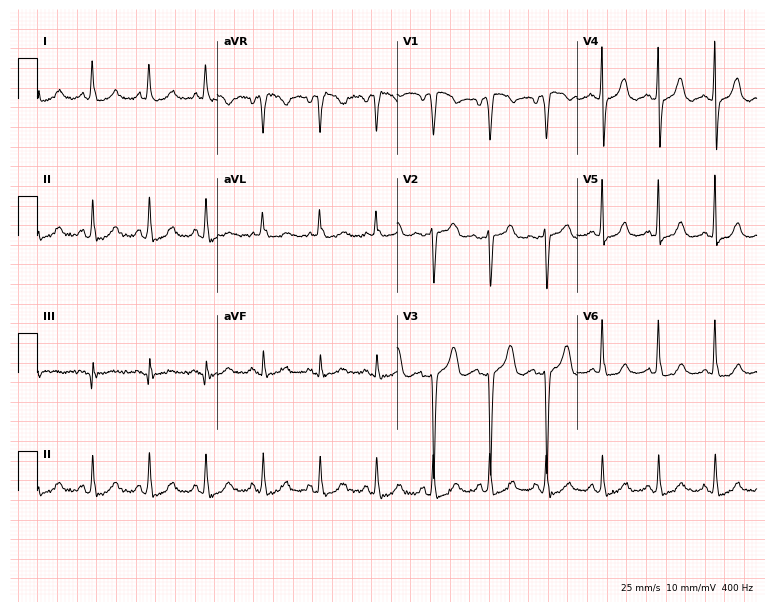
Electrocardiogram, a 73-year-old female. Interpretation includes sinus tachycardia (a sinus rate of 100 beats per minute or more).